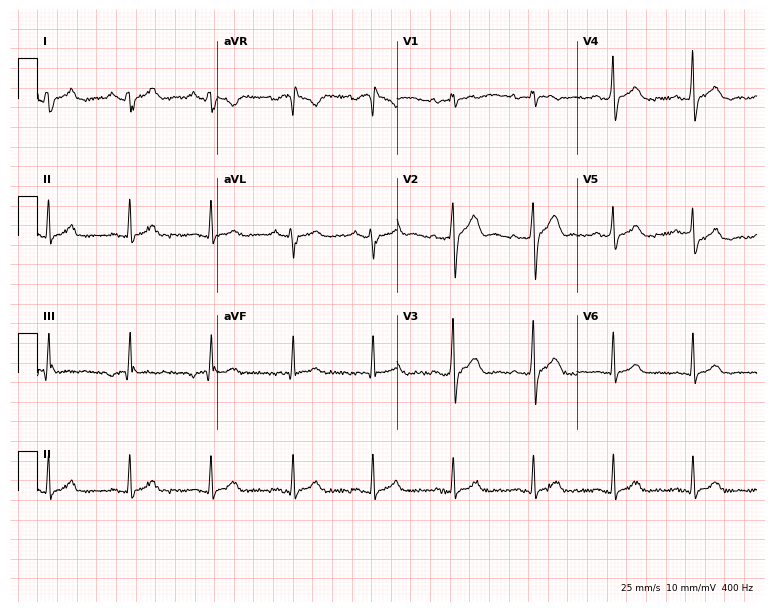
Resting 12-lead electrocardiogram. Patient: a 50-year-old male. None of these six findings is recorded: first-degree AV block, right bundle branch block, left bundle branch block, sinus bradycardia, atrial fibrillation, sinus tachycardia. Only these six findings were labelled.